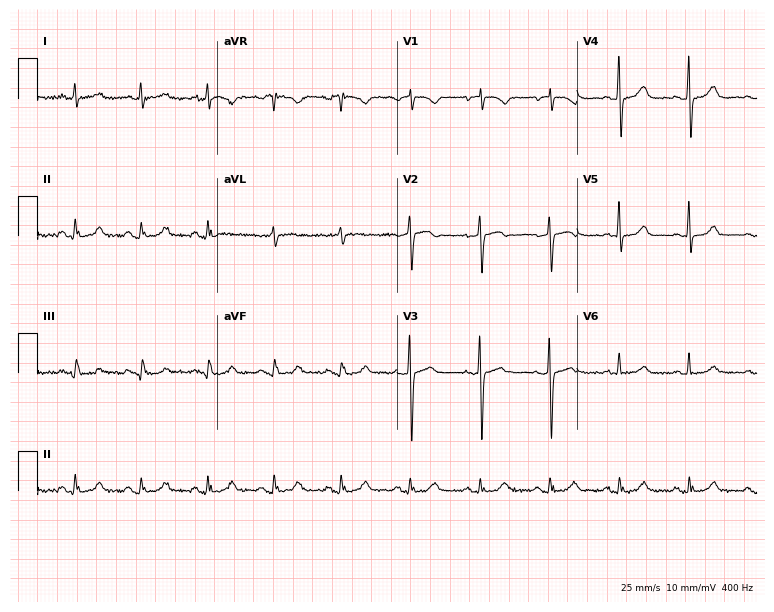
ECG (7.3-second recording at 400 Hz) — a female patient, 67 years old. Labelled as a normal ECG.